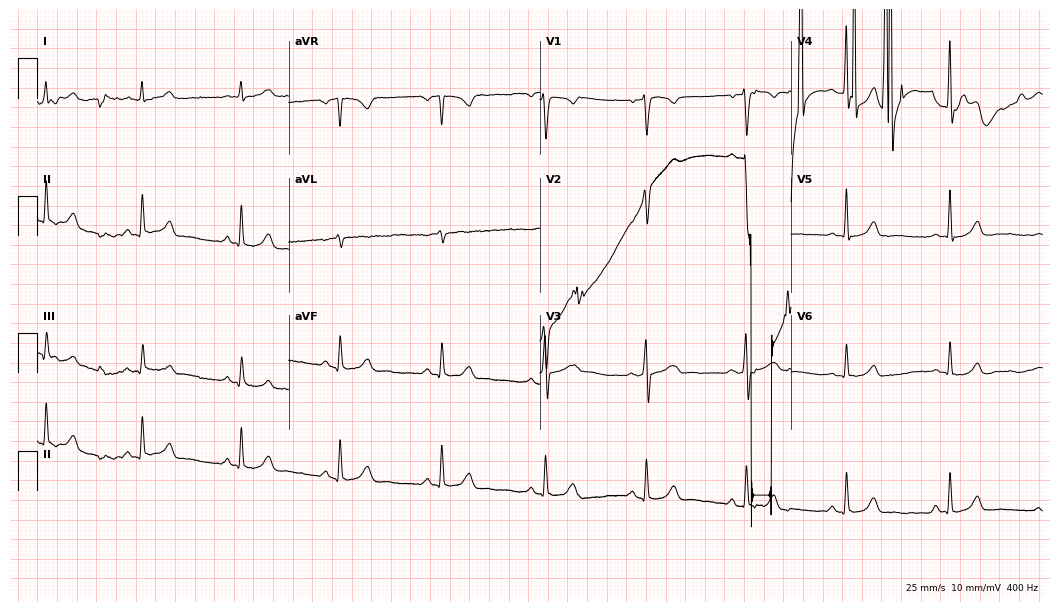
Resting 12-lead electrocardiogram (10.2-second recording at 400 Hz). Patient: a 44-year-old male. None of these six findings is recorded: first-degree AV block, right bundle branch block, left bundle branch block, sinus bradycardia, atrial fibrillation, sinus tachycardia. Only these six findings were labelled.